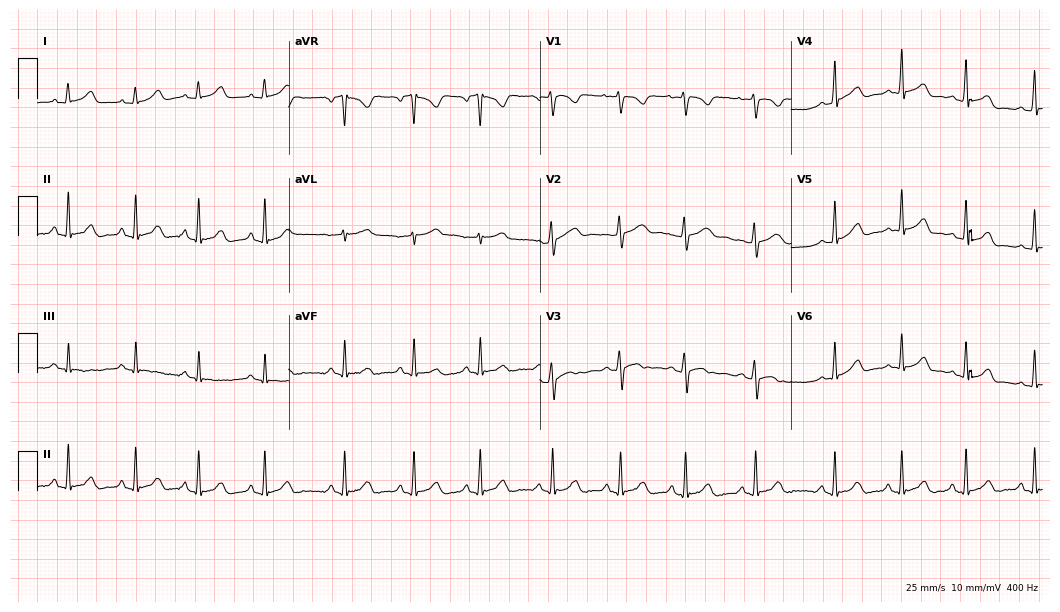
ECG (10.2-second recording at 400 Hz) — a female patient, 18 years old. Labelled as a normal ECG.